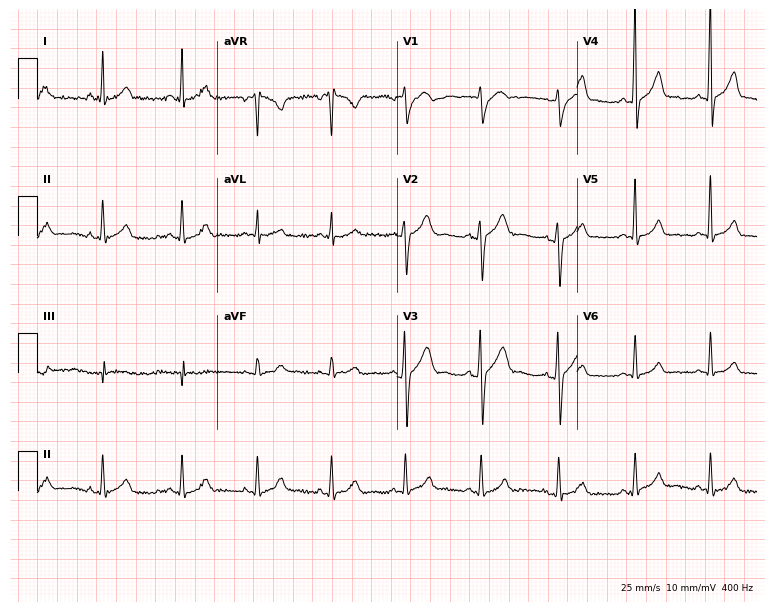
12-lead ECG from a 34-year-old man. No first-degree AV block, right bundle branch block, left bundle branch block, sinus bradycardia, atrial fibrillation or sinus tachycardia recorded for this tracing.